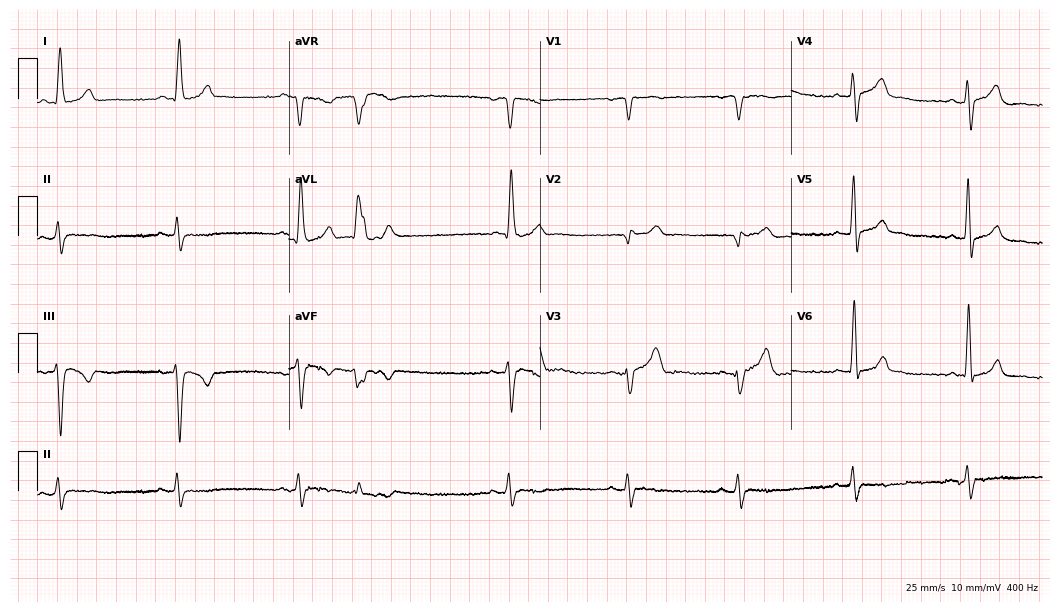
12-lead ECG from a 62-year-old male (10.2-second recording at 400 Hz). Shows sinus bradycardia (a sinus rate of 50 beats per minute or less).